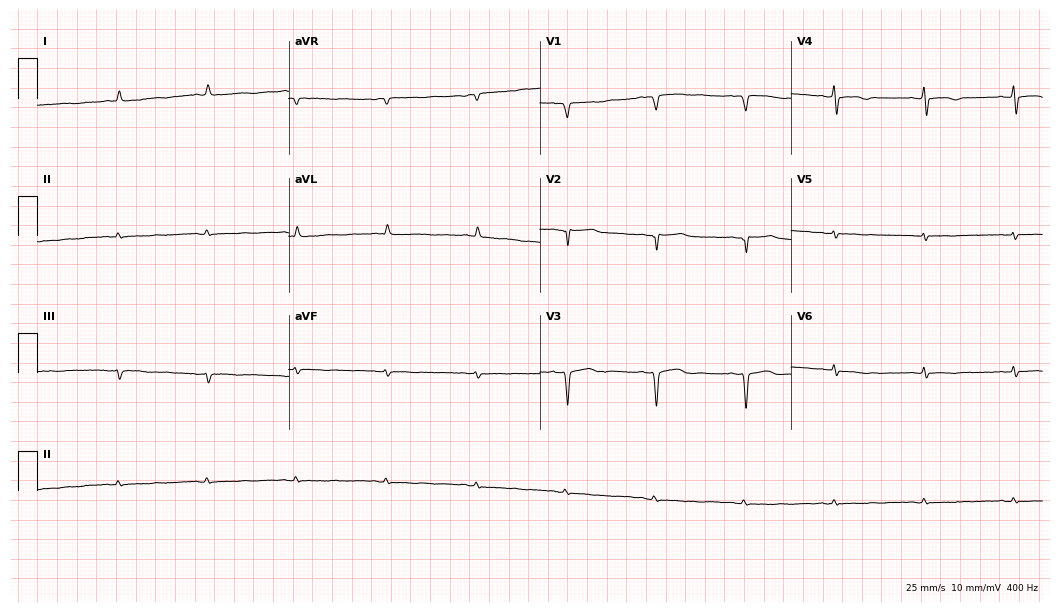
12-lead ECG from a 43-year-old female patient (10.2-second recording at 400 Hz). No first-degree AV block, right bundle branch block, left bundle branch block, sinus bradycardia, atrial fibrillation or sinus tachycardia recorded for this tracing.